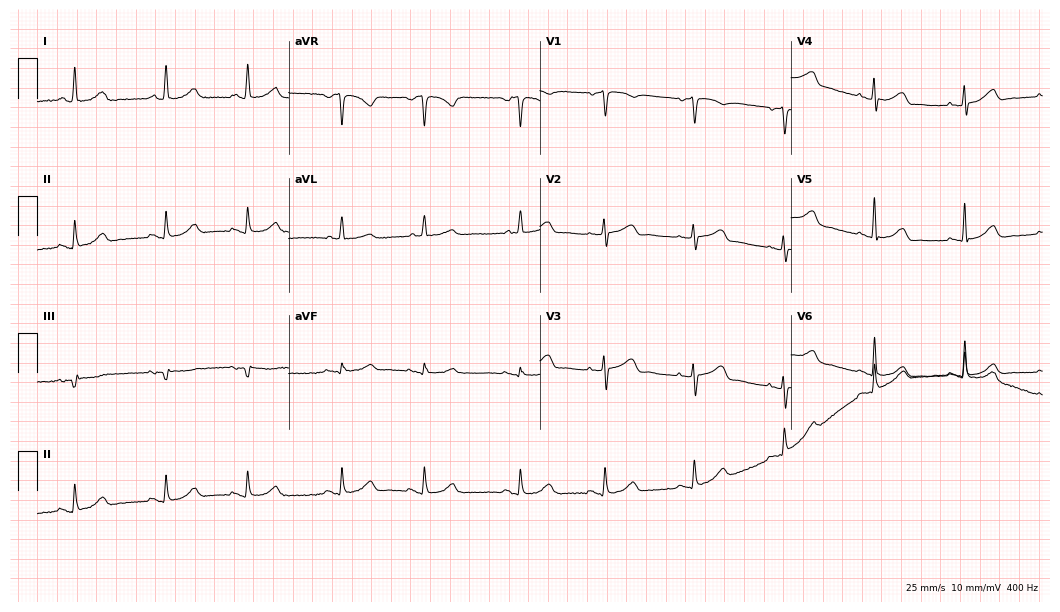
12-lead ECG from an 84-year-old female patient. Labelled as a normal ECG.